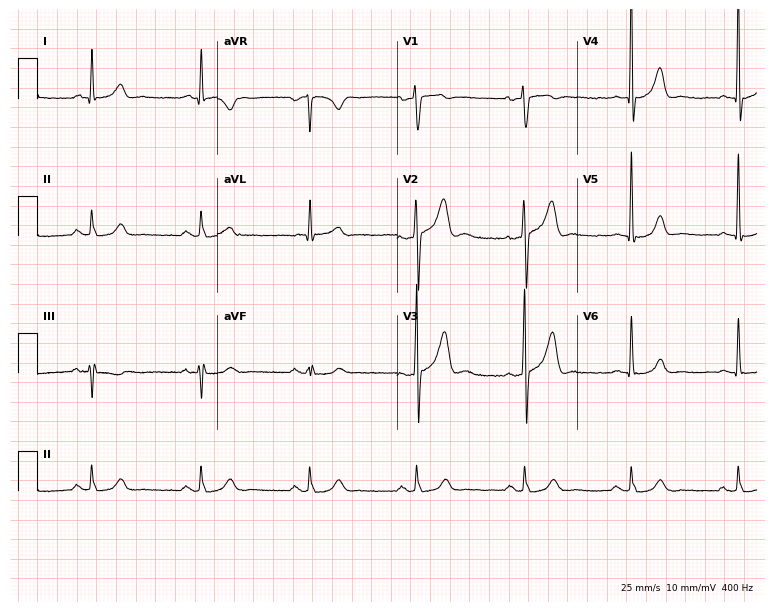
Resting 12-lead electrocardiogram. Patient: a 57-year-old male. Read as a normal ECG.